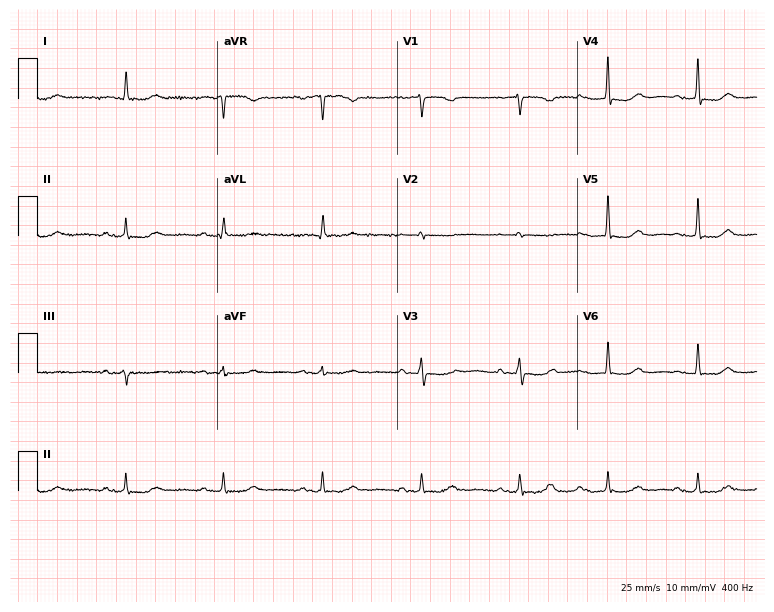
ECG — an 83-year-old female. Findings include first-degree AV block.